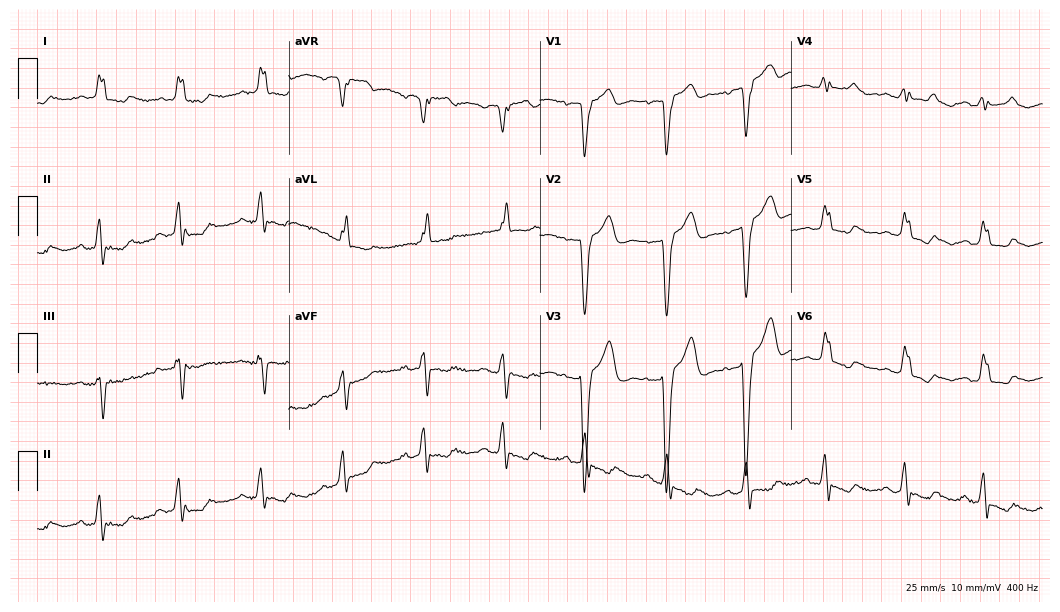
12-lead ECG (10.2-second recording at 400 Hz) from a 76-year-old female. Findings include left bundle branch block (LBBB).